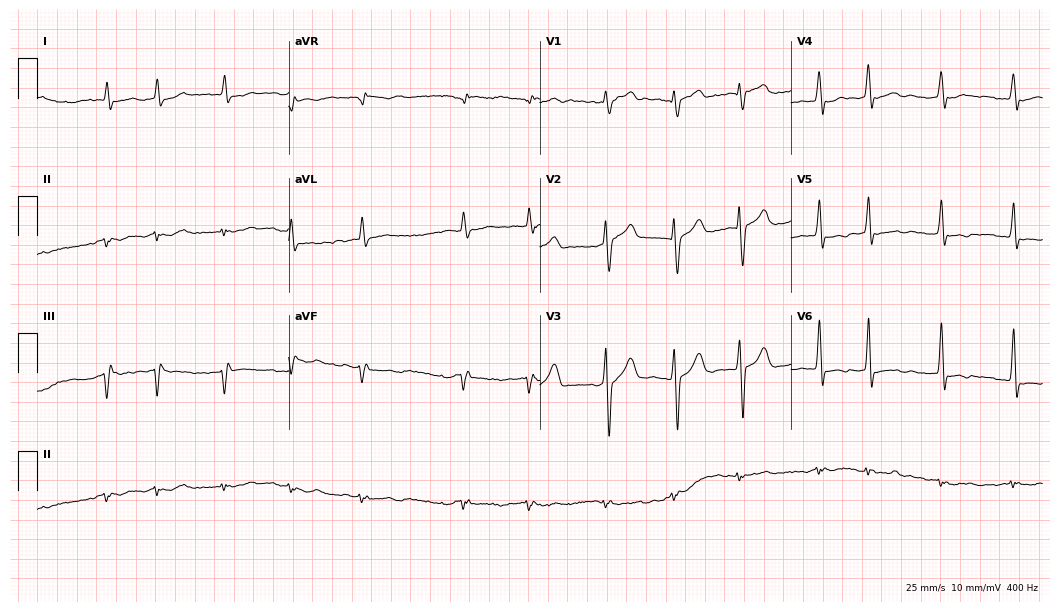
Resting 12-lead electrocardiogram (10.2-second recording at 400 Hz). Patient: a 53-year-old male. The tracing shows atrial fibrillation.